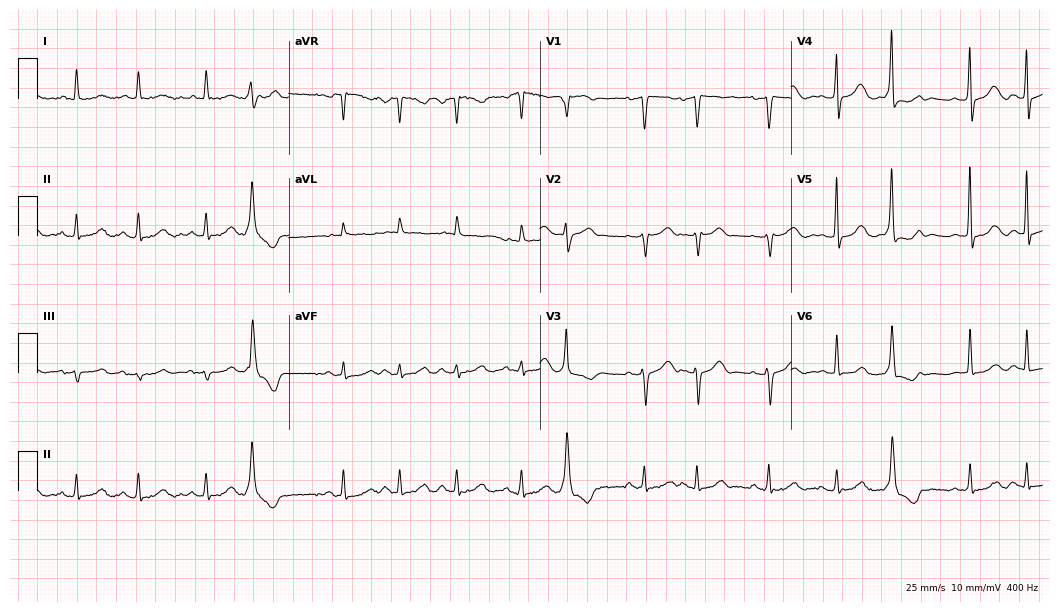
Resting 12-lead electrocardiogram. Patient: a 69-year-old woman. None of these six findings is recorded: first-degree AV block, right bundle branch block, left bundle branch block, sinus bradycardia, atrial fibrillation, sinus tachycardia.